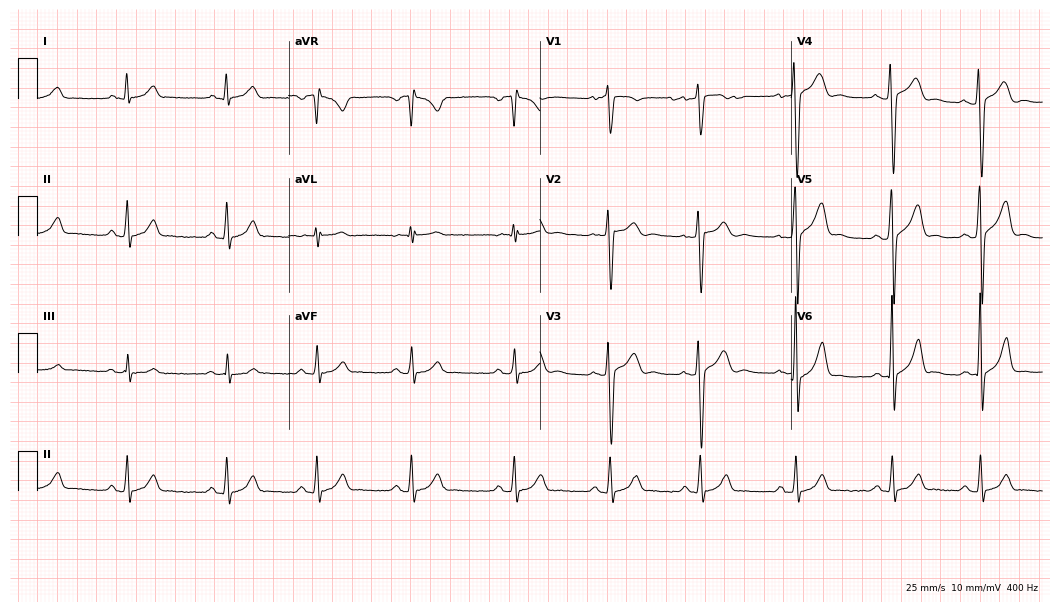
ECG (10.2-second recording at 400 Hz) — a 30-year-old man. Screened for six findings — first-degree AV block, right bundle branch block (RBBB), left bundle branch block (LBBB), sinus bradycardia, atrial fibrillation (AF), sinus tachycardia — none is recorded.